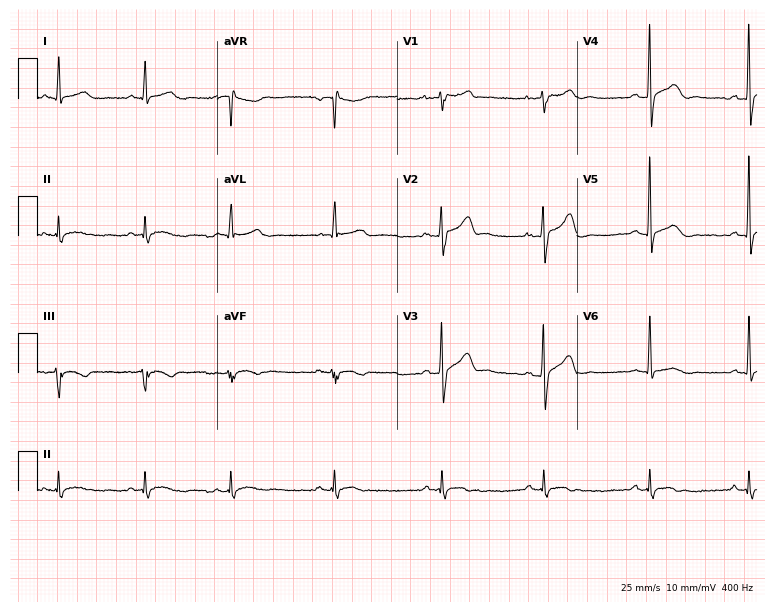
Standard 12-lead ECG recorded from a male, 45 years old. Read as a normal ECG.